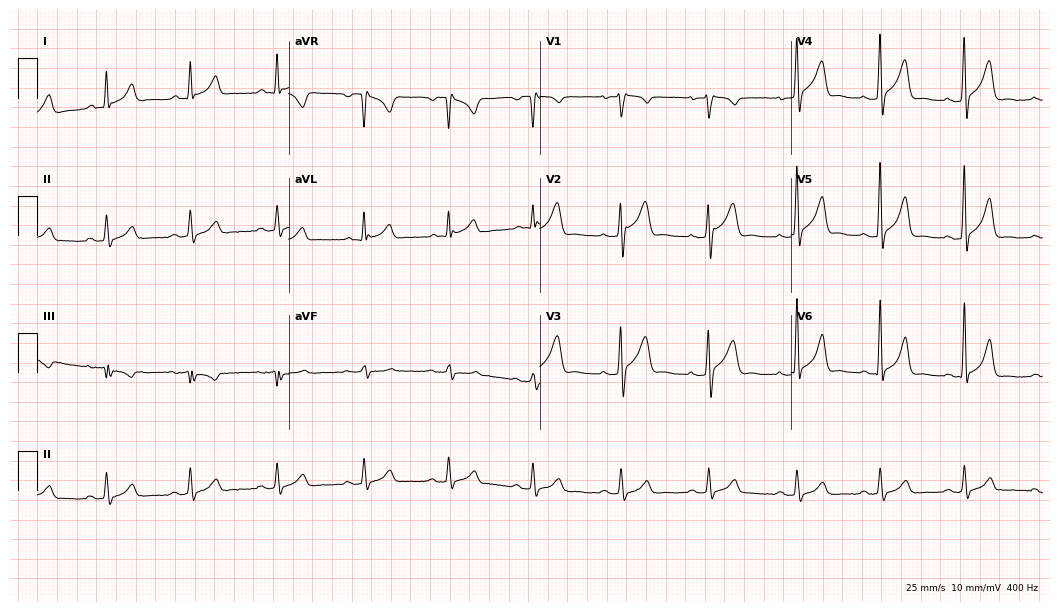
Resting 12-lead electrocardiogram (10.2-second recording at 400 Hz). Patient: a 28-year-old man. Read as a normal ECG.